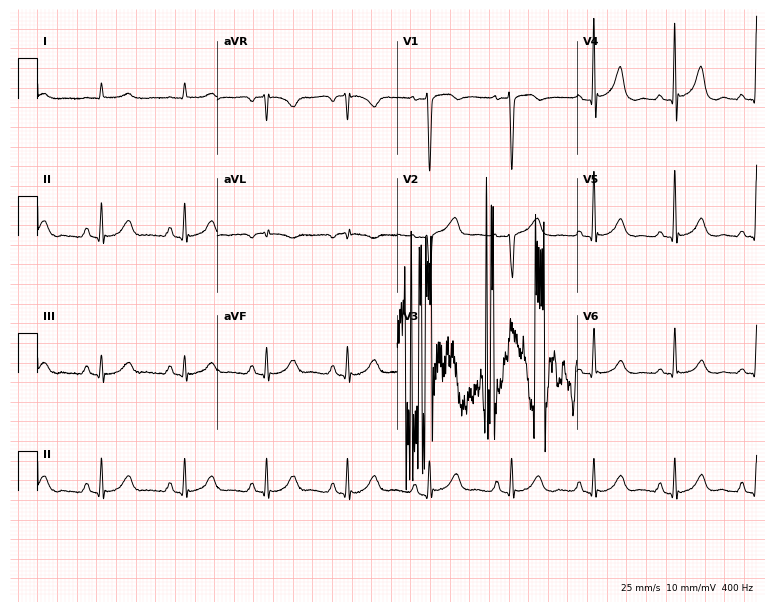
Resting 12-lead electrocardiogram. Patient: a 71-year-old male. None of these six findings is recorded: first-degree AV block, right bundle branch block (RBBB), left bundle branch block (LBBB), sinus bradycardia, atrial fibrillation (AF), sinus tachycardia.